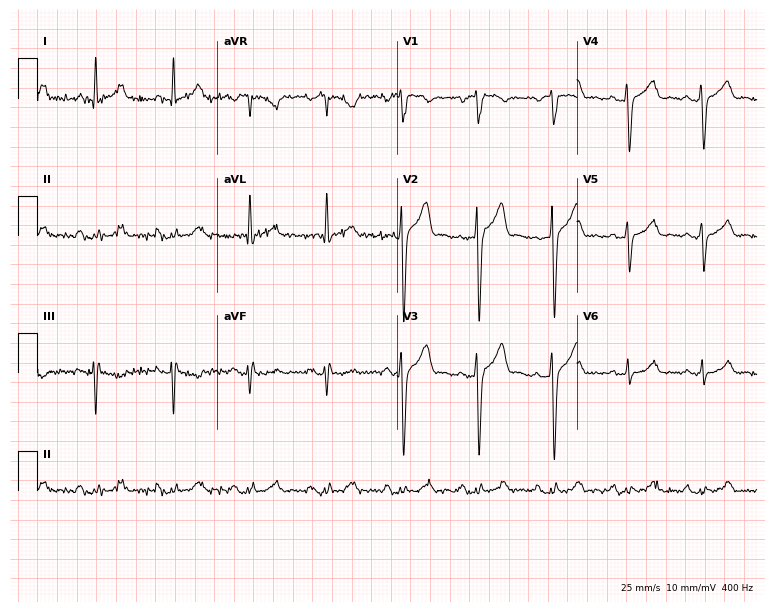
ECG (7.3-second recording at 400 Hz) — a 43-year-old male patient. Screened for six findings — first-degree AV block, right bundle branch block, left bundle branch block, sinus bradycardia, atrial fibrillation, sinus tachycardia — none is recorded. Other findings, if any, are not listed.